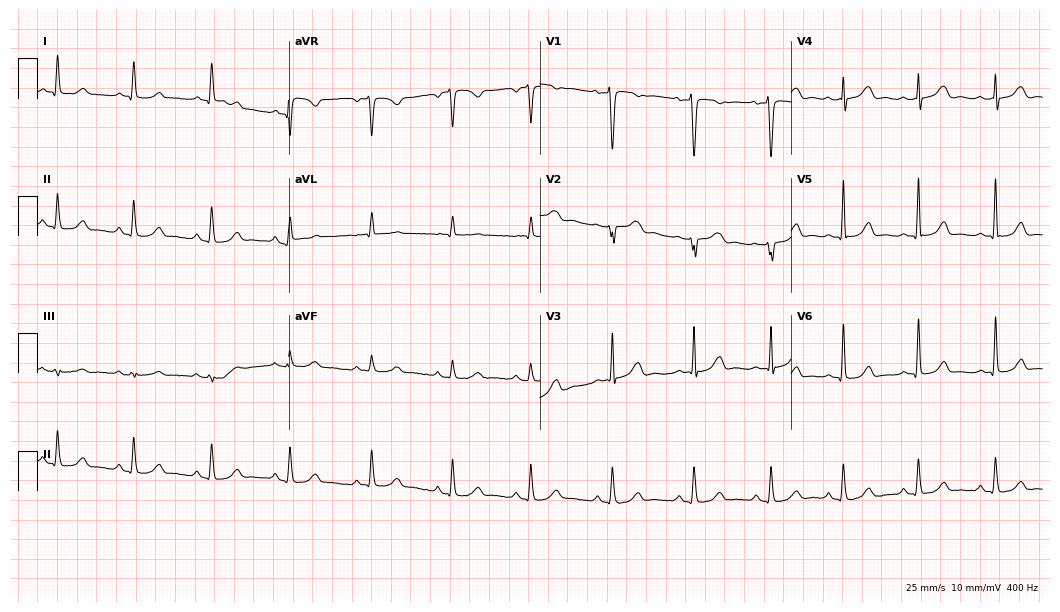
12-lead ECG from a 41-year-old female patient (10.2-second recording at 400 Hz). Recorded interpretation: within normal limits.